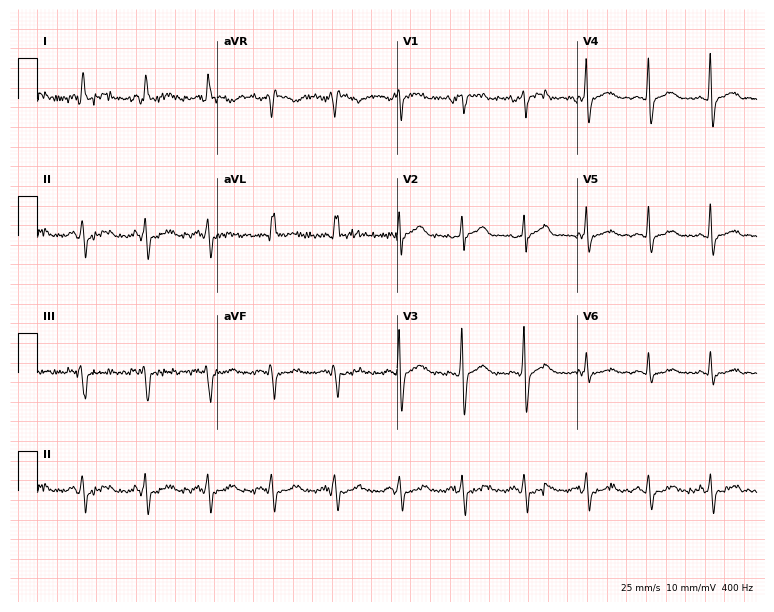
Resting 12-lead electrocardiogram (7.3-second recording at 400 Hz). Patient: a 61-year-old female. Read as a normal ECG.